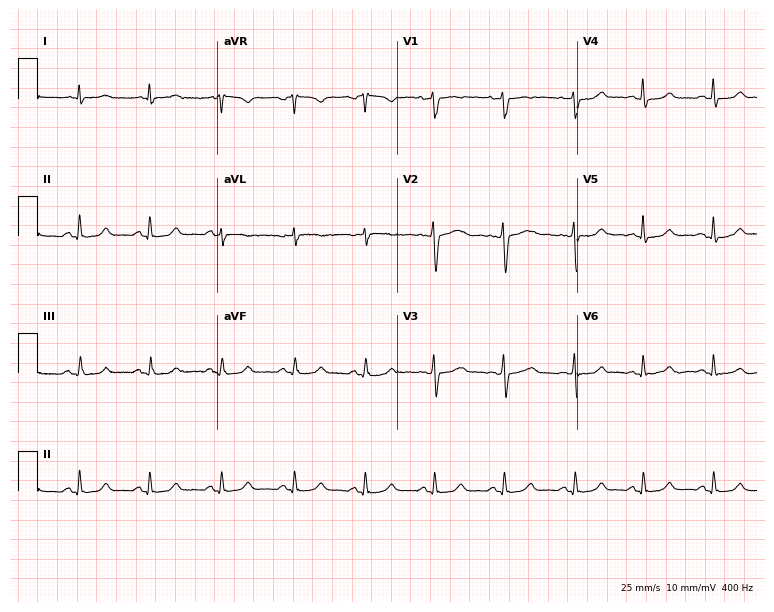
Standard 12-lead ECG recorded from a 36-year-old female patient. None of these six findings is recorded: first-degree AV block, right bundle branch block, left bundle branch block, sinus bradycardia, atrial fibrillation, sinus tachycardia. Other findings, if any, are not listed.